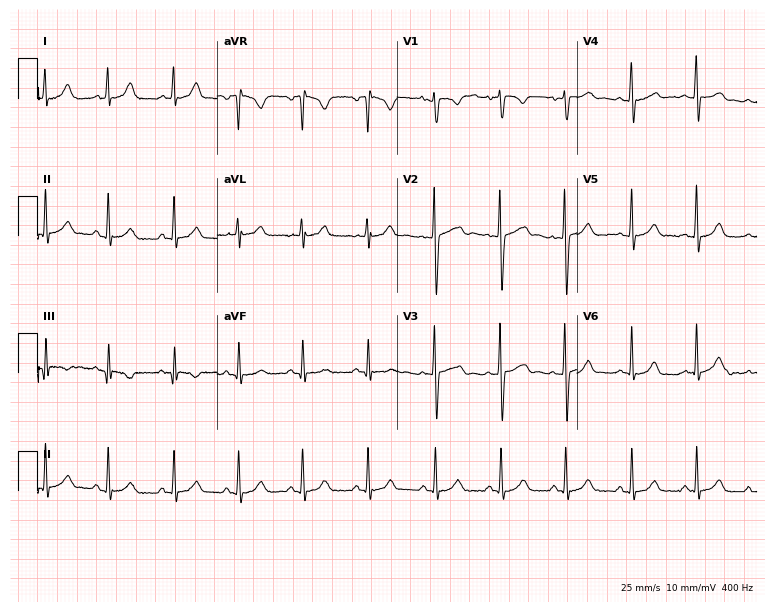
ECG (7.3-second recording at 400 Hz) — a female patient, 23 years old. Screened for six findings — first-degree AV block, right bundle branch block (RBBB), left bundle branch block (LBBB), sinus bradycardia, atrial fibrillation (AF), sinus tachycardia — none is recorded. Other findings, if any, are not listed.